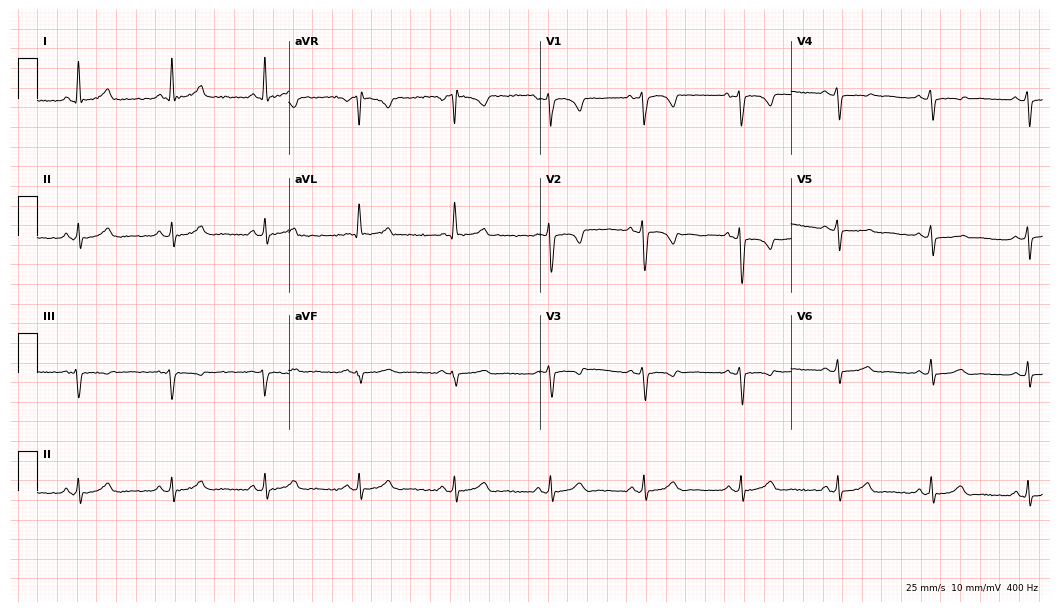
Standard 12-lead ECG recorded from a 62-year-old female. Read as a normal ECG.